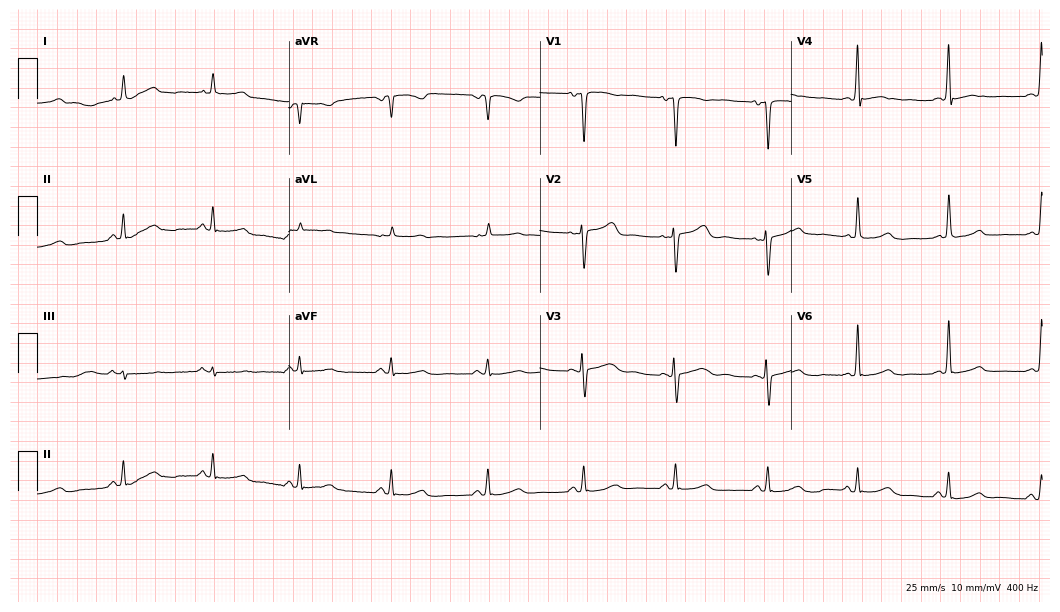
Resting 12-lead electrocardiogram (10.2-second recording at 400 Hz). Patient: a female, 45 years old. None of these six findings is recorded: first-degree AV block, right bundle branch block, left bundle branch block, sinus bradycardia, atrial fibrillation, sinus tachycardia. Other findings, if any, are not listed.